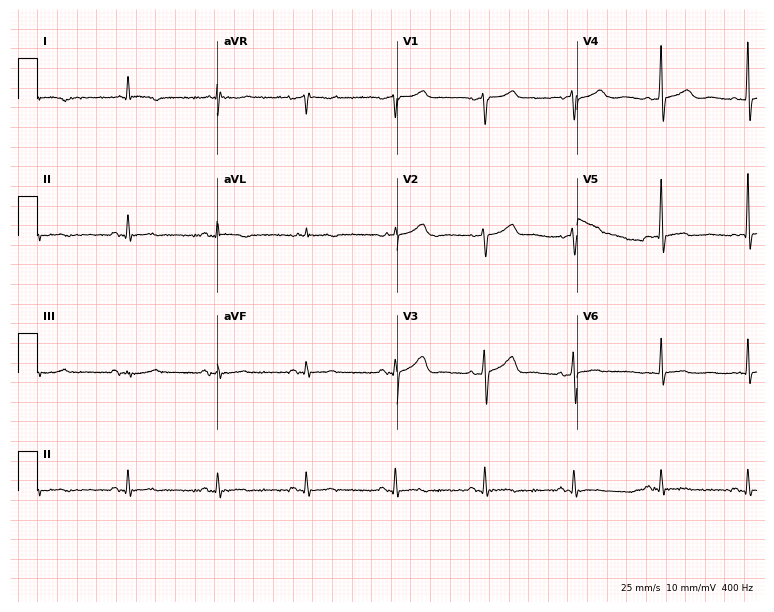
ECG — a male, 82 years old. Screened for six findings — first-degree AV block, right bundle branch block, left bundle branch block, sinus bradycardia, atrial fibrillation, sinus tachycardia — none is recorded.